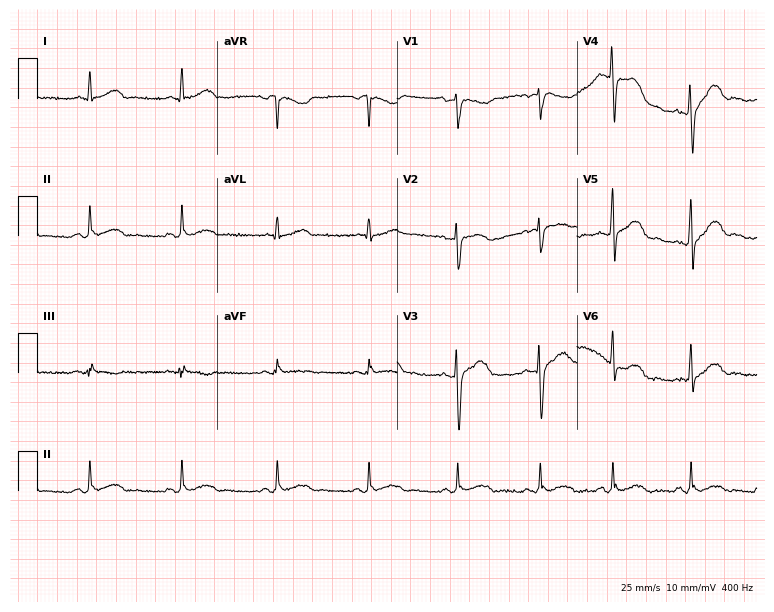
ECG — a male, 27 years old. Screened for six findings — first-degree AV block, right bundle branch block, left bundle branch block, sinus bradycardia, atrial fibrillation, sinus tachycardia — none is recorded.